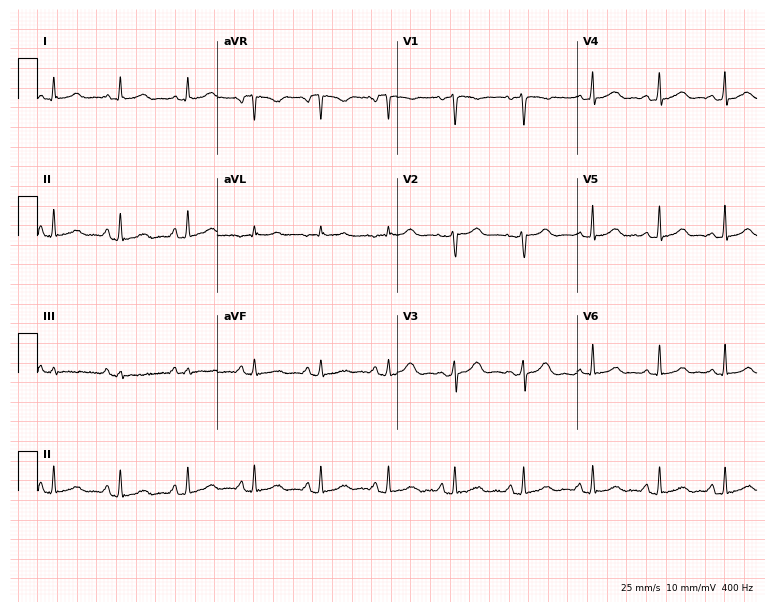
12-lead ECG from a 19-year-old male. Recorded interpretation: within normal limits.